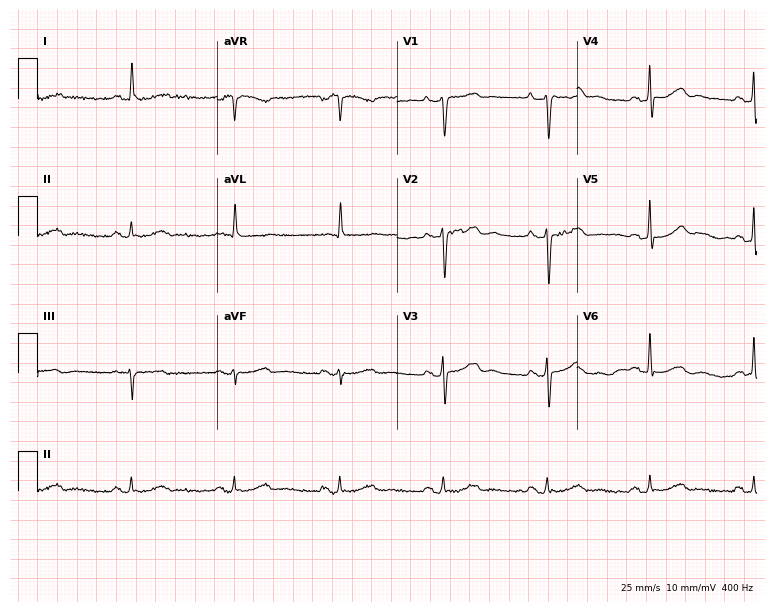
ECG — a female, 44 years old. Labelled as a normal ECG.